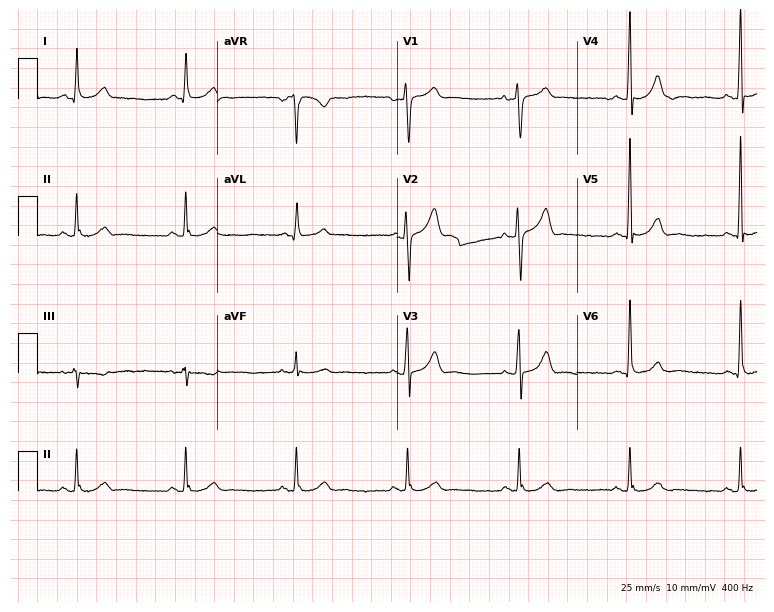
12-lead ECG from a man, 59 years old (7.3-second recording at 400 Hz). No first-degree AV block, right bundle branch block (RBBB), left bundle branch block (LBBB), sinus bradycardia, atrial fibrillation (AF) or sinus tachycardia recorded for this tracing. Findings outside these six are not listed.